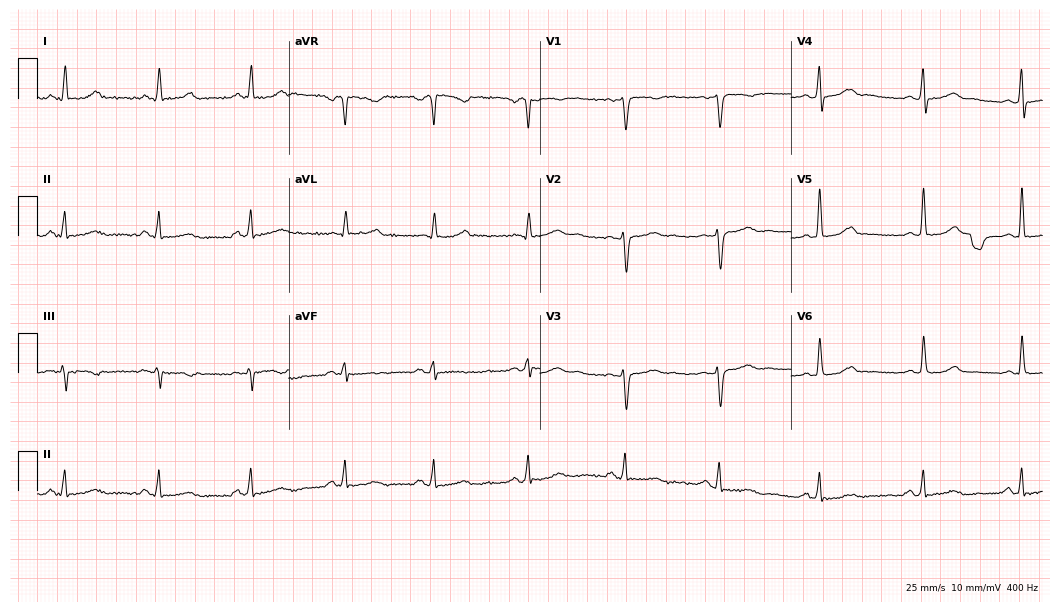
Electrocardiogram (10.2-second recording at 400 Hz), a 47-year-old female patient. Of the six screened findings (first-degree AV block, right bundle branch block (RBBB), left bundle branch block (LBBB), sinus bradycardia, atrial fibrillation (AF), sinus tachycardia), none is recorded. Findings outside these six are not listed.